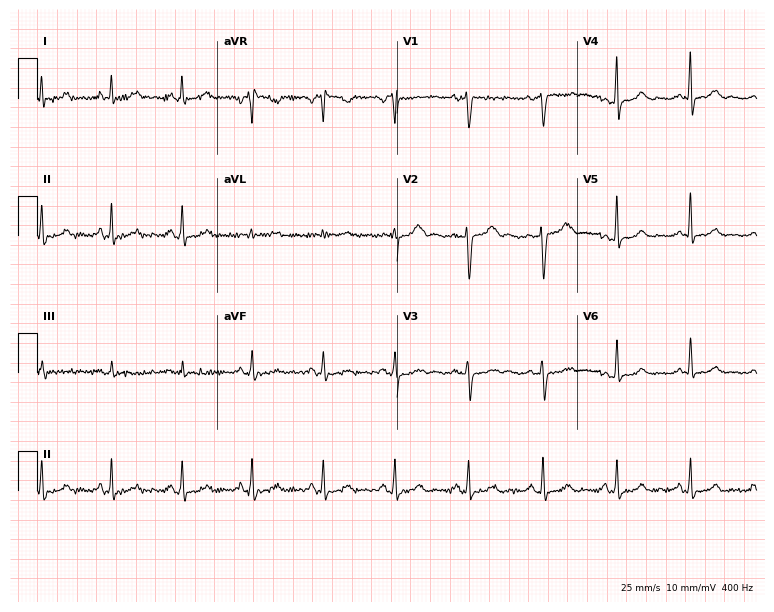
12-lead ECG from a female patient, 47 years old (7.3-second recording at 400 Hz). No first-degree AV block, right bundle branch block (RBBB), left bundle branch block (LBBB), sinus bradycardia, atrial fibrillation (AF) or sinus tachycardia recorded for this tracing. Other findings, if any, are not listed.